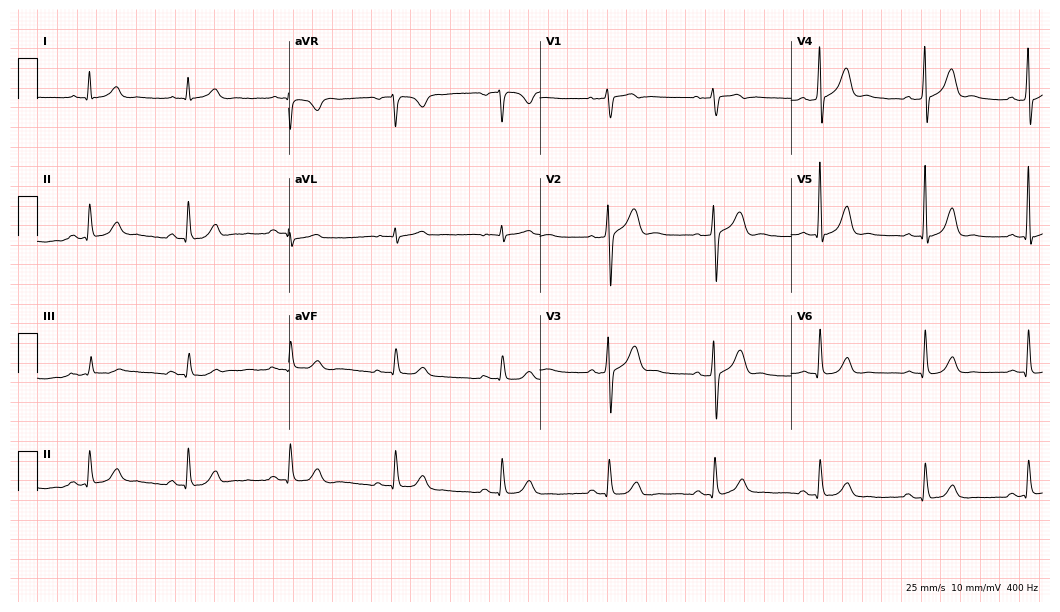
12-lead ECG from a 65-year-old male. Recorded interpretation: within normal limits.